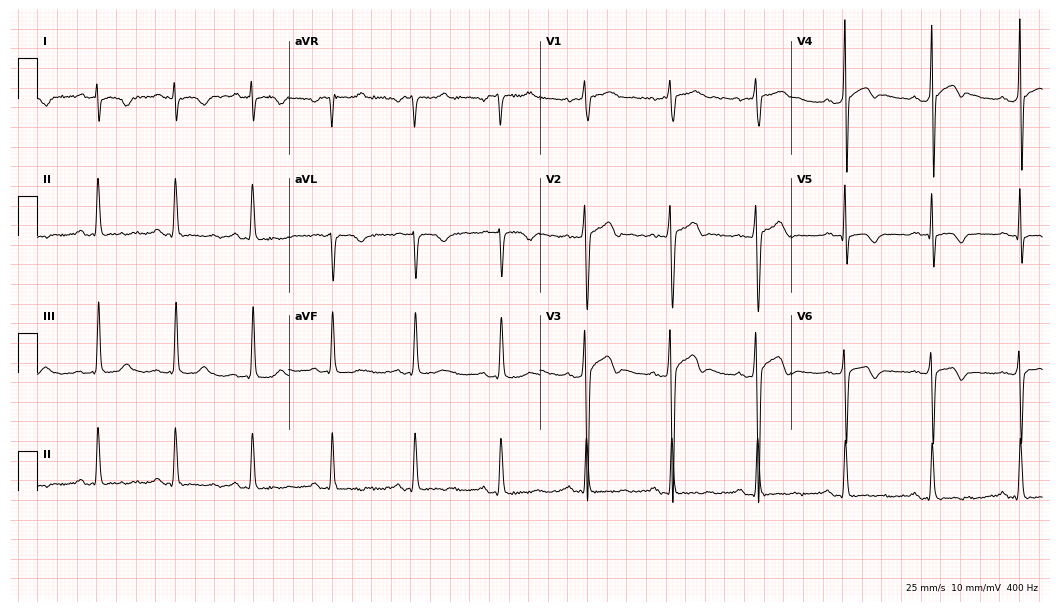
Standard 12-lead ECG recorded from a 34-year-old man. None of these six findings is recorded: first-degree AV block, right bundle branch block, left bundle branch block, sinus bradycardia, atrial fibrillation, sinus tachycardia. Other findings, if any, are not listed.